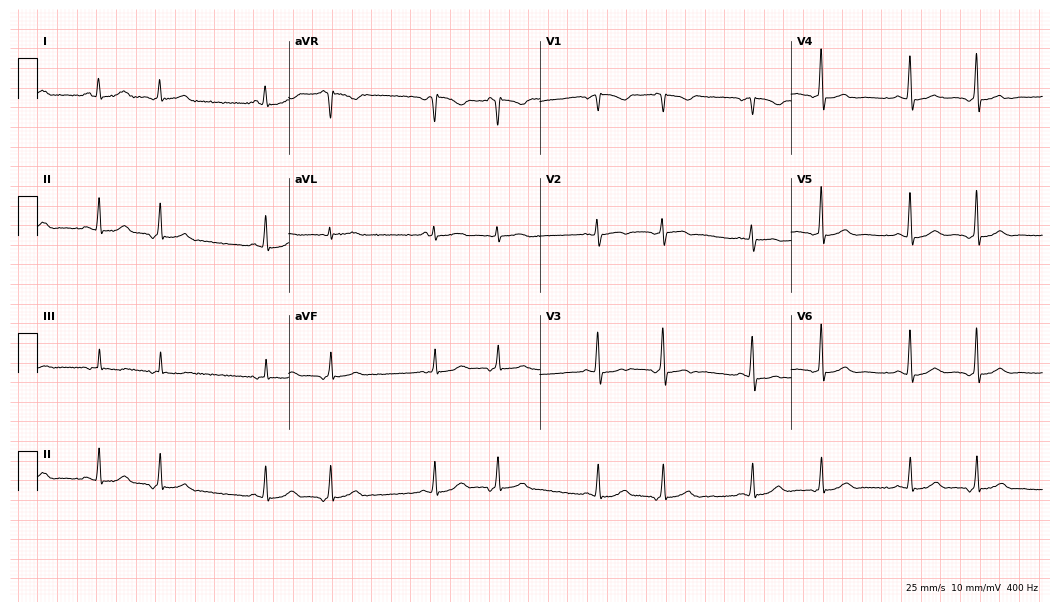
Standard 12-lead ECG recorded from a 47-year-old female patient (10.2-second recording at 400 Hz). None of these six findings is recorded: first-degree AV block, right bundle branch block, left bundle branch block, sinus bradycardia, atrial fibrillation, sinus tachycardia.